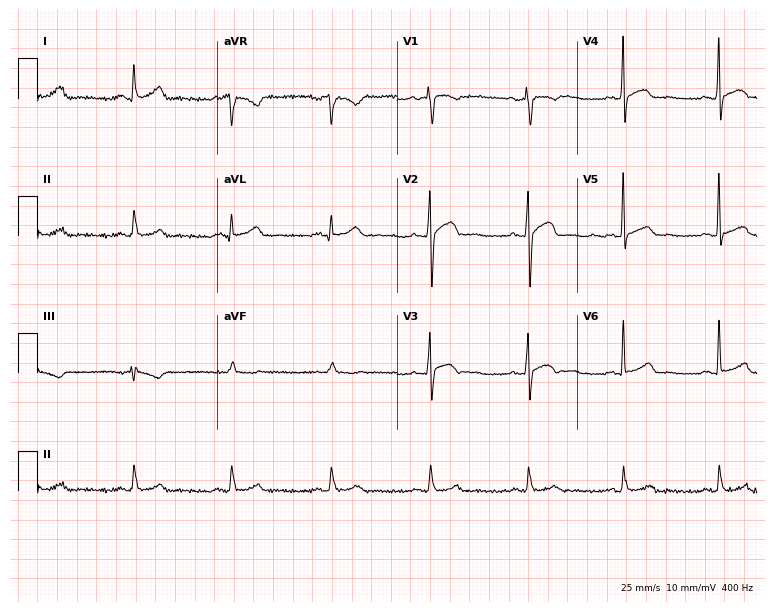
12-lead ECG from a 28-year-old man. No first-degree AV block, right bundle branch block (RBBB), left bundle branch block (LBBB), sinus bradycardia, atrial fibrillation (AF) or sinus tachycardia recorded for this tracing.